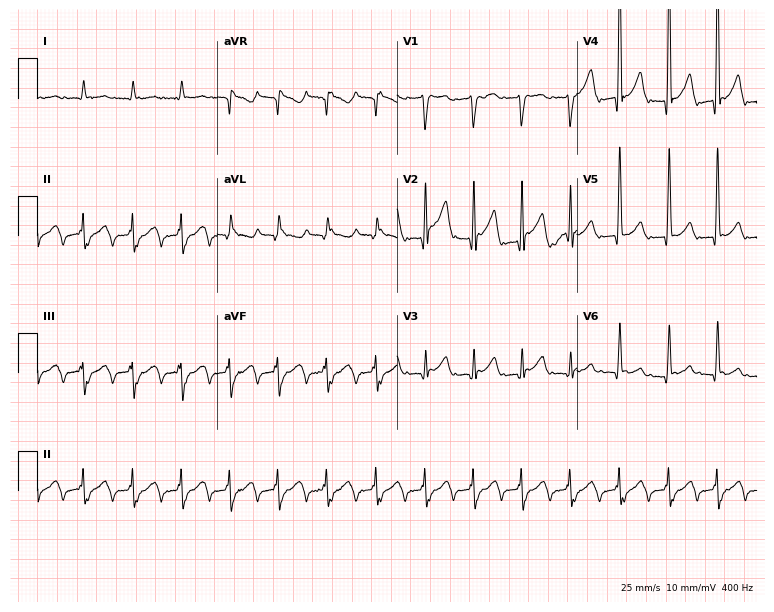
12-lead ECG (7.3-second recording at 400 Hz) from an 85-year-old male patient. Screened for six findings — first-degree AV block, right bundle branch block, left bundle branch block, sinus bradycardia, atrial fibrillation, sinus tachycardia — none is recorded. Other findings, if any, are not listed.